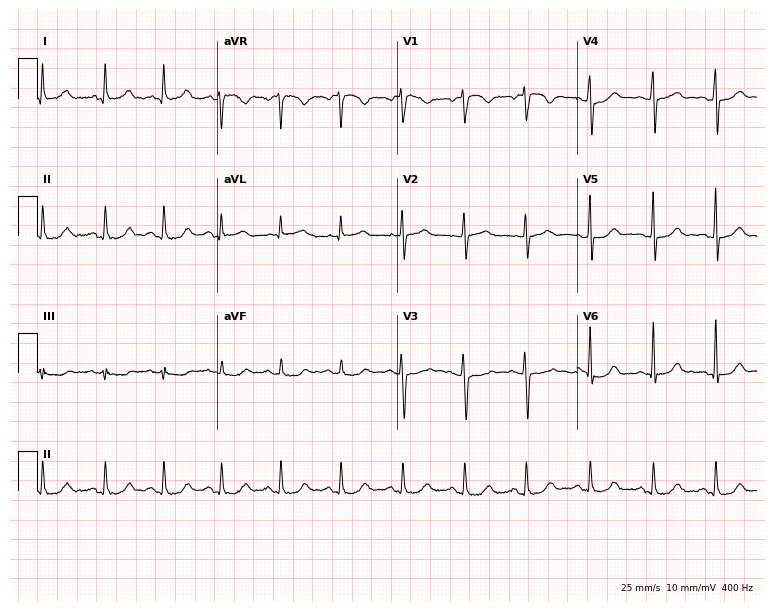
12-lead ECG from a 50-year-old female patient. Labelled as a normal ECG.